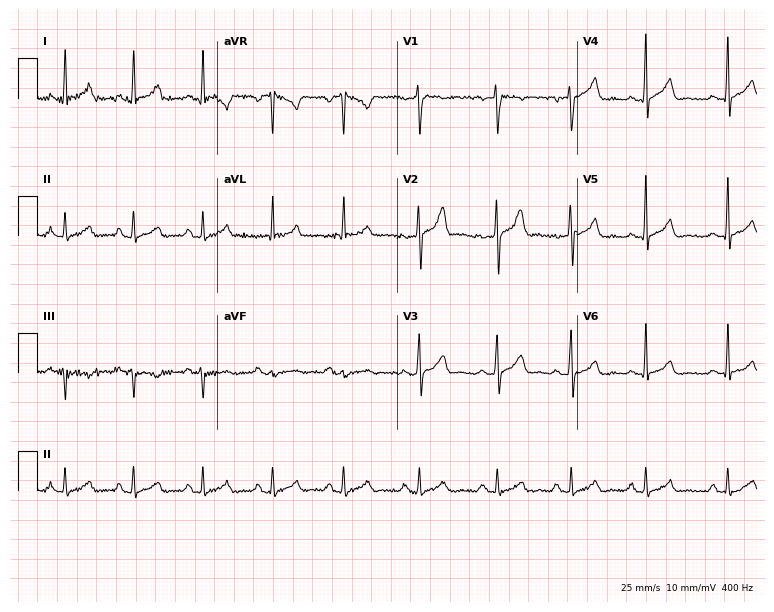
12-lead ECG from a 34-year-old male patient. Recorded interpretation: within normal limits.